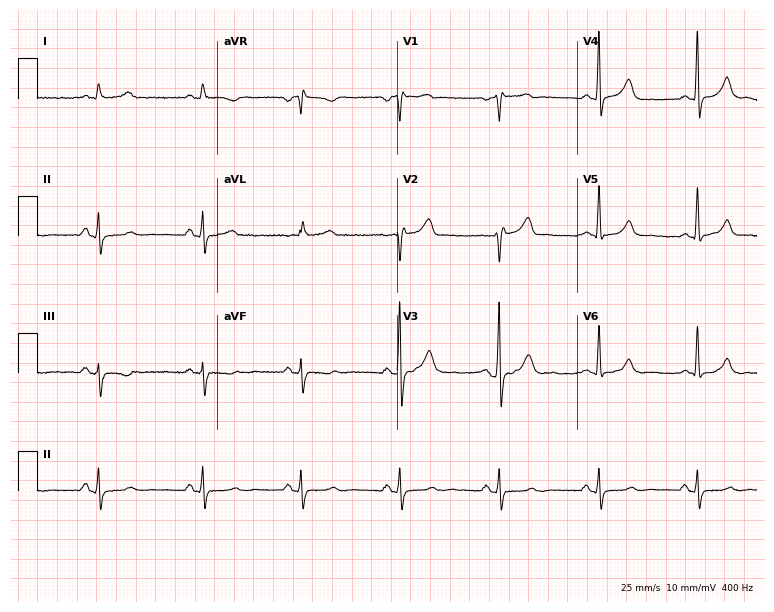
12-lead ECG from a male patient, 48 years old. Recorded interpretation: within normal limits.